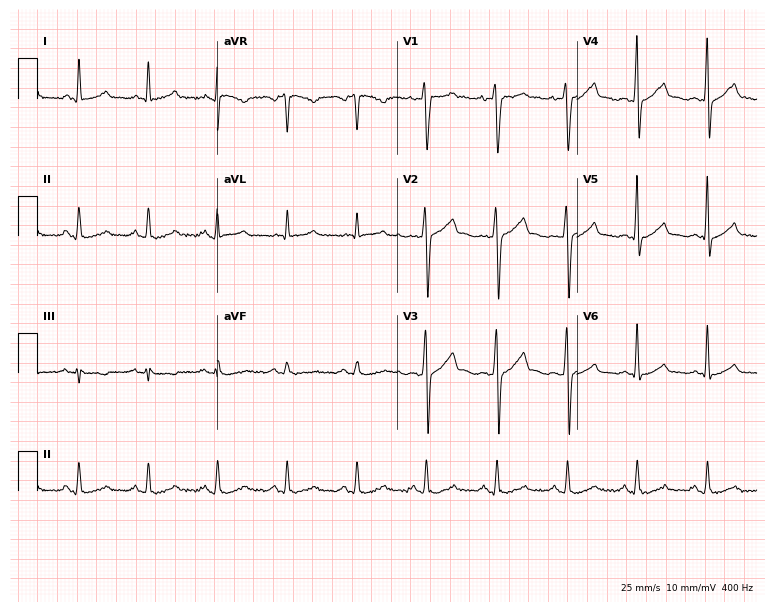
Standard 12-lead ECG recorded from a 47-year-old male patient (7.3-second recording at 400 Hz). Read as a normal ECG.